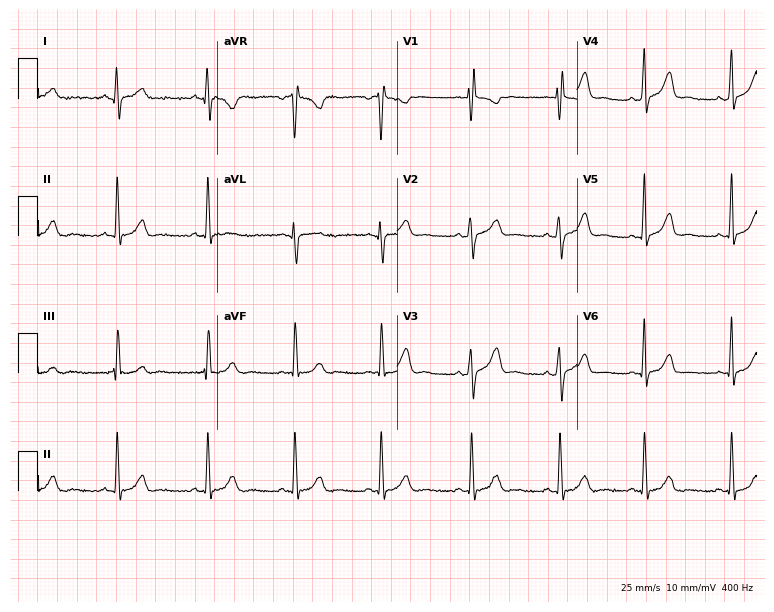
12-lead ECG from a woman, 17 years old. Recorded interpretation: within normal limits.